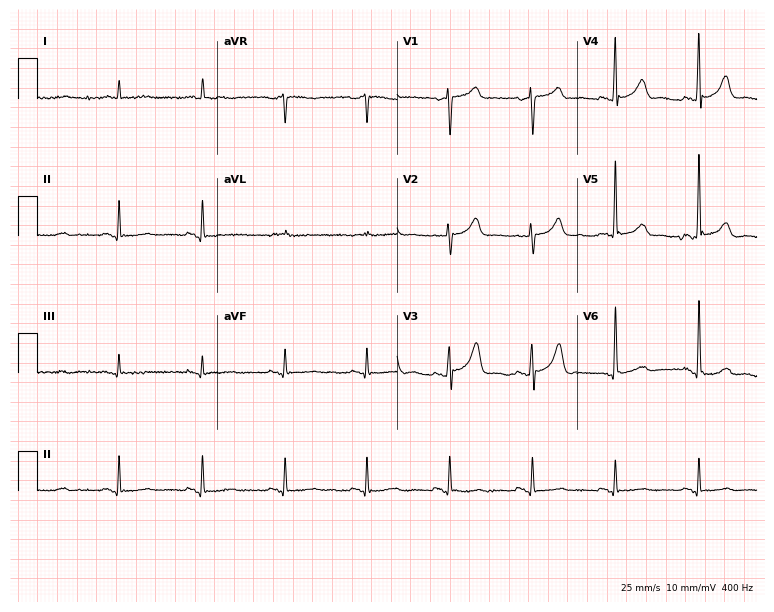
12-lead ECG from a man, 85 years old (7.3-second recording at 400 Hz). No first-degree AV block, right bundle branch block (RBBB), left bundle branch block (LBBB), sinus bradycardia, atrial fibrillation (AF) or sinus tachycardia recorded for this tracing.